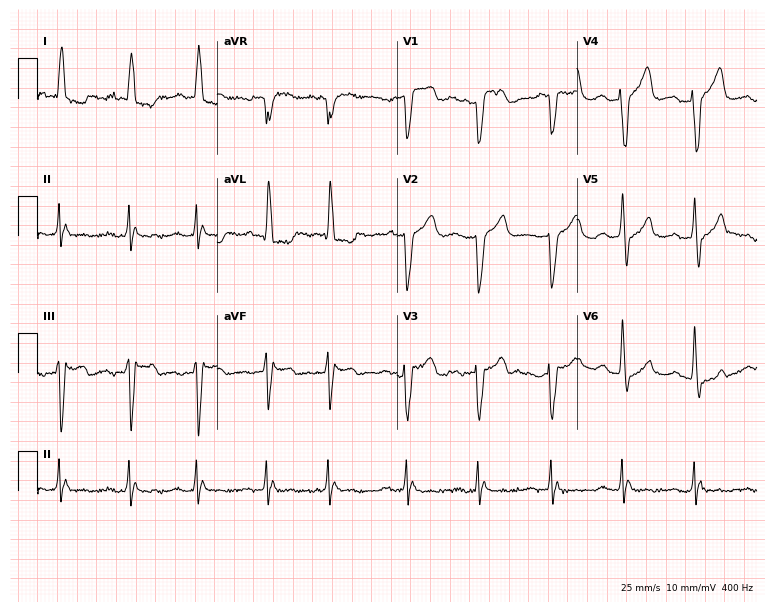
Electrocardiogram (7.3-second recording at 400 Hz), an 83-year-old woman. Interpretation includes left bundle branch block (LBBB).